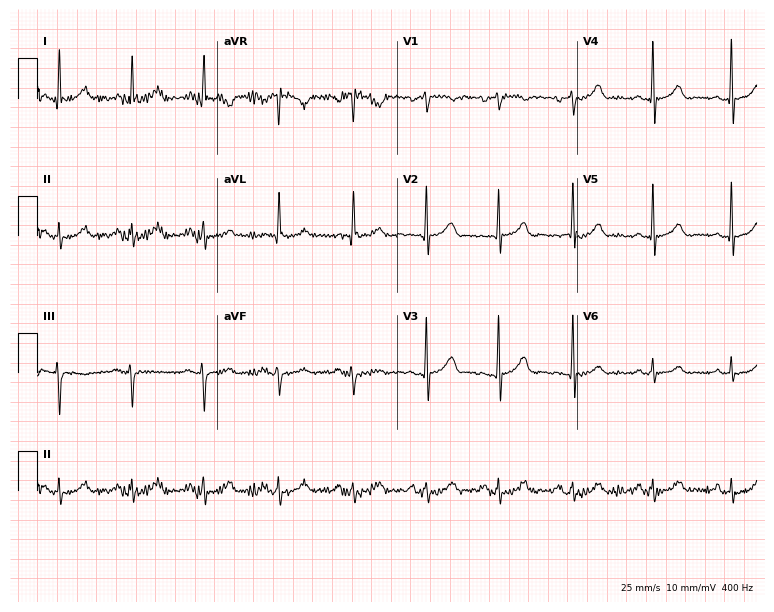
ECG (7.3-second recording at 400 Hz) — a female patient, 62 years old. Screened for six findings — first-degree AV block, right bundle branch block (RBBB), left bundle branch block (LBBB), sinus bradycardia, atrial fibrillation (AF), sinus tachycardia — none is recorded. Other findings, if any, are not listed.